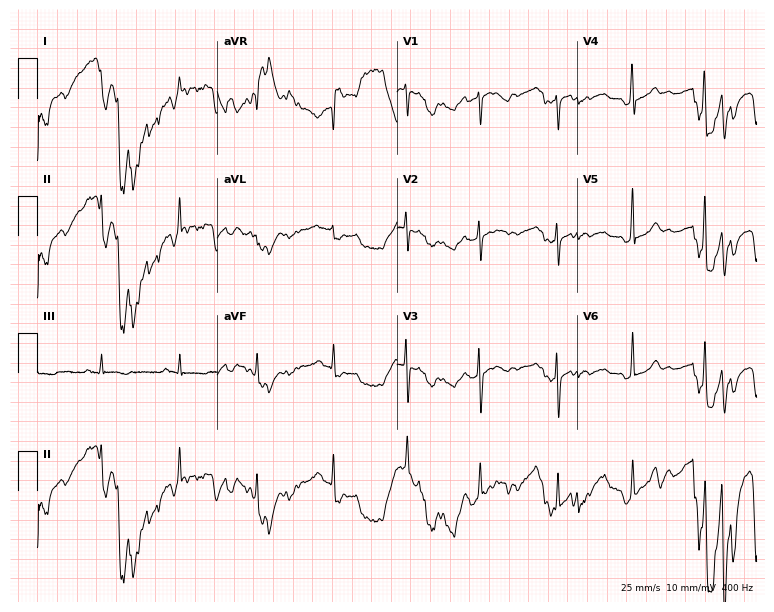
Standard 12-lead ECG recorded from a 32-year-old female (7.3-second recording at 400 Hz). None of these six findings is recorded: first-degree AV block, right bundle branch block, left bundle branch block, sinus bradycardia, atrial fibrillation, sinus tachycardia.